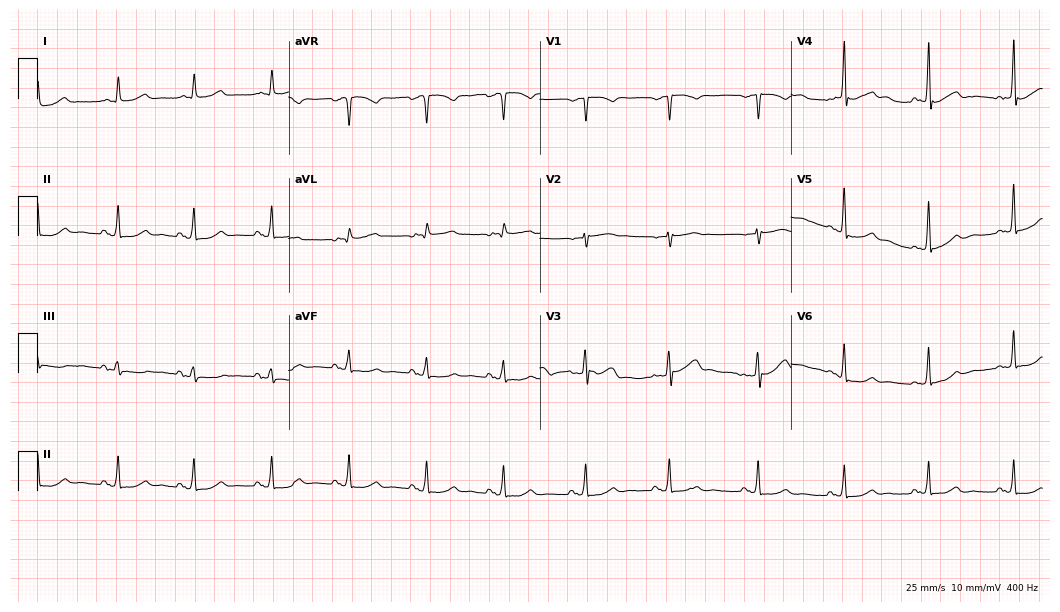
Electrocardiogram (10.2-second recording at 400 Hz), a 72-year-old woman. Overall reading on record: normal ECG.